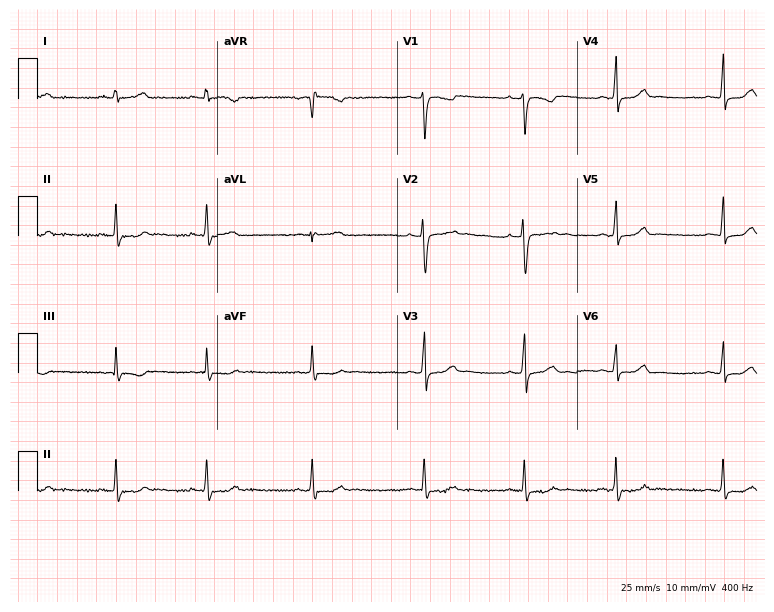
Standard 12-lead ECG recorded from a female patient, 28 years old. None of these six findings is recorded: first-degree AV block, right bundle branch block, left bundle branch block, sinus bradycardia, atrial fibrillation, sinus tachycardia.